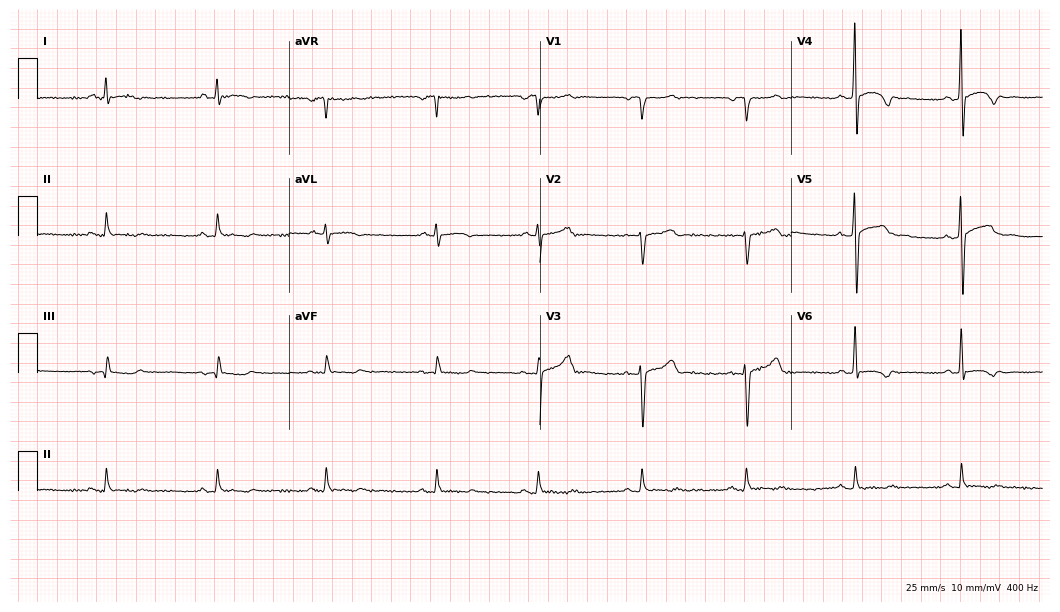
12-lead ECG from a man, 56 years old. No first-degree AV block, right bundle branch block, left bundle branch block, sinus bradycardia, atrial fibrillation or sinus tachycardia recorded for this tracing.